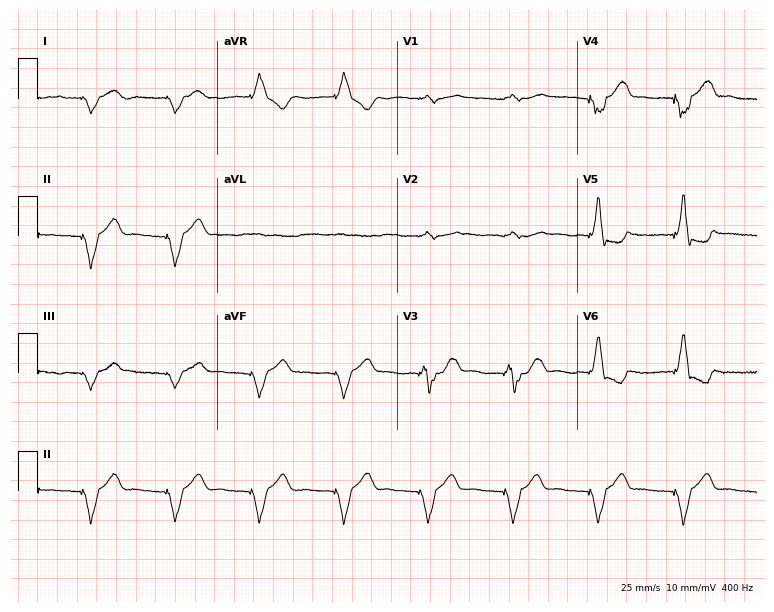
Standard 12-lead ECG recorded from a female, 83 years old (7.3-second recording at 400 Hz). None of these six findings is recorded: first-degree AV block, right bundle branch block, left bundle branch block, sinus bradycardia, atrial fibrillation, sinus tachycardia. Other findings, if any, are not listed.